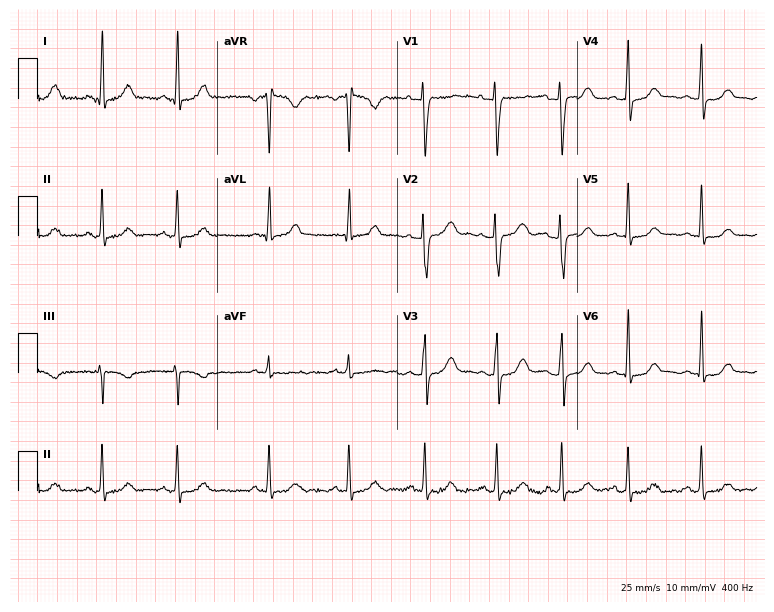
12-lead ECG from a woman, 39 years old. No first-degree AV block, right bundle branch block (RBBB), left bundle branch block (LBBB), sinus bradycardia, atrial fibrillation (AF) or sinus tachycardia recorded for this tracing.